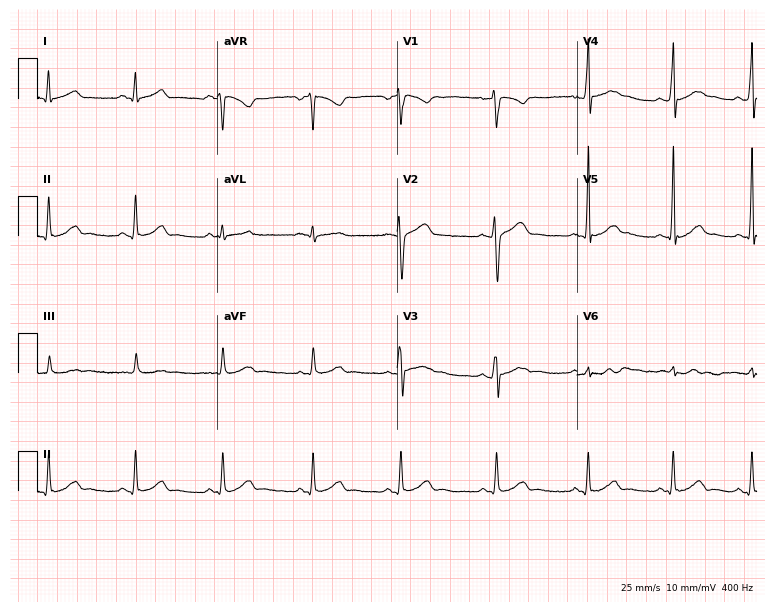
Standard 12-lead ECG recorded from a 25-year-old male (7.3-second recording at 400 Hz). Read as a normal ECG.